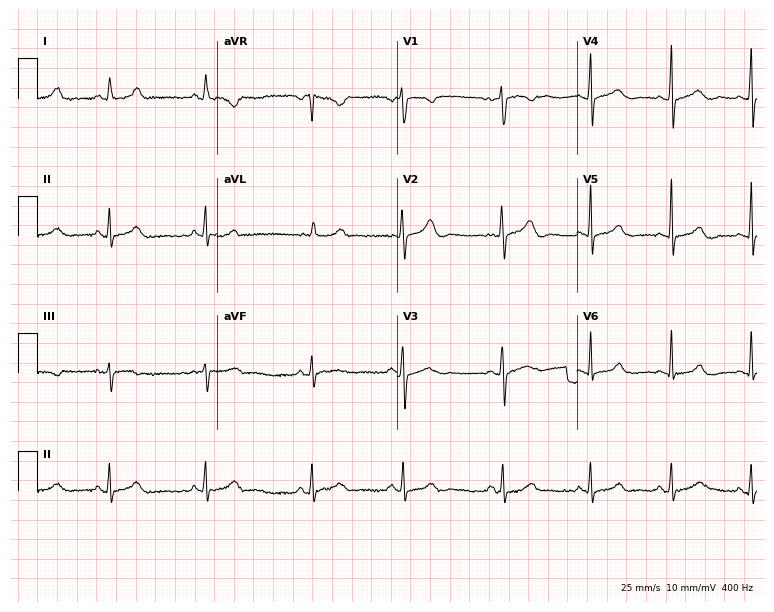
Standard 12-lead ECG recorded from a female patient, 20 years old (7.3-second recording at 400 Hz). Read as a normal ECG.